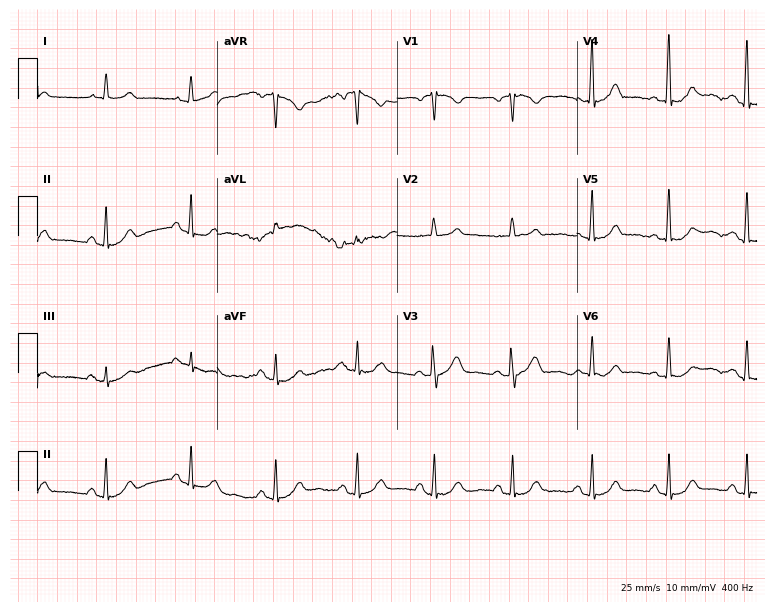
Electrocardiogram, a female, 52 years old. Overall reading on record: normal ECG.